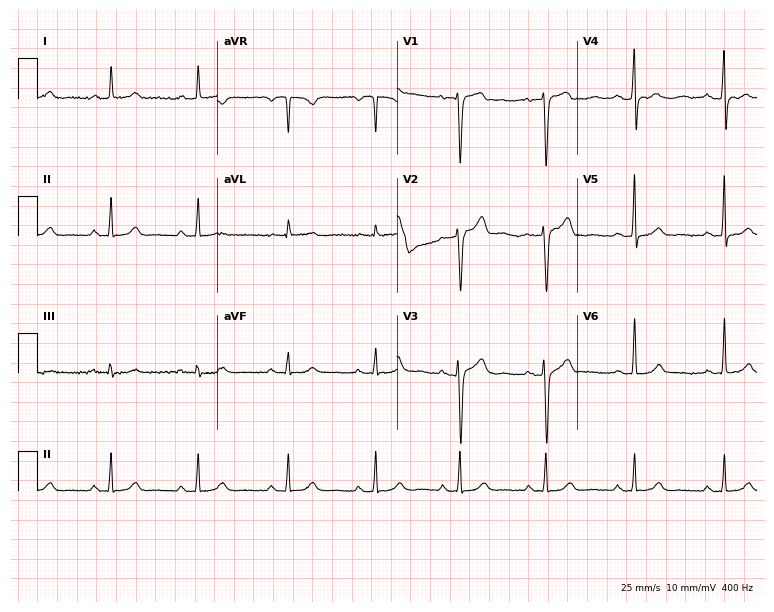
Standard 12-lead ECG recorded from a female, 48 years old (7.3-second recording at 400 Hz). Read as a normal ECG.